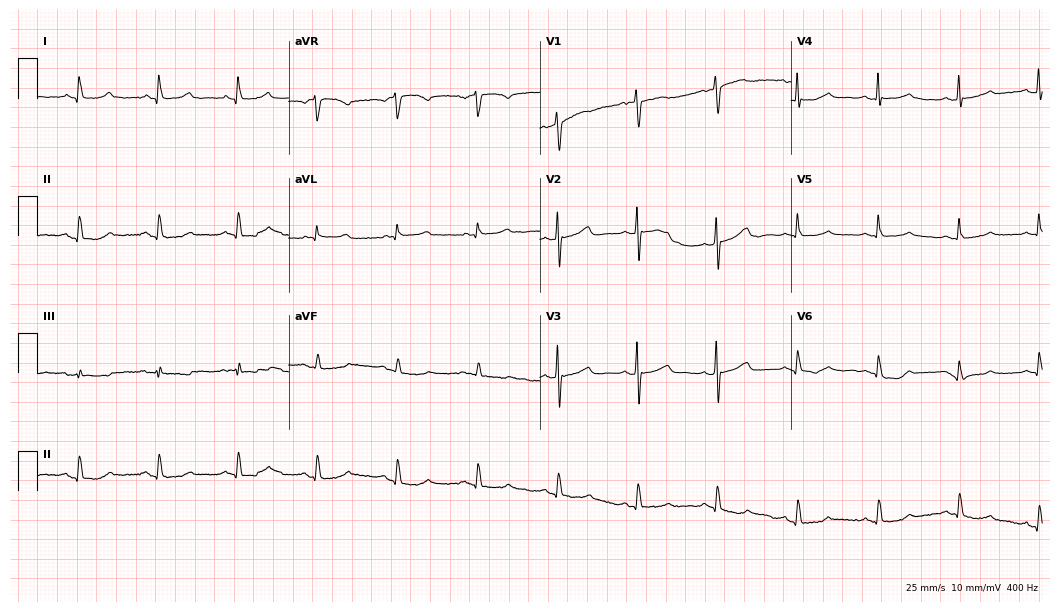
Resting 12-lead electrocardiogram. Patient: a 63-year-old female. None of these six findings is recorded: first-degree AV block, right bundle branch block, left bundle branch block, sinus bradycardia, atrial fibrillation, sinus tachycardia.